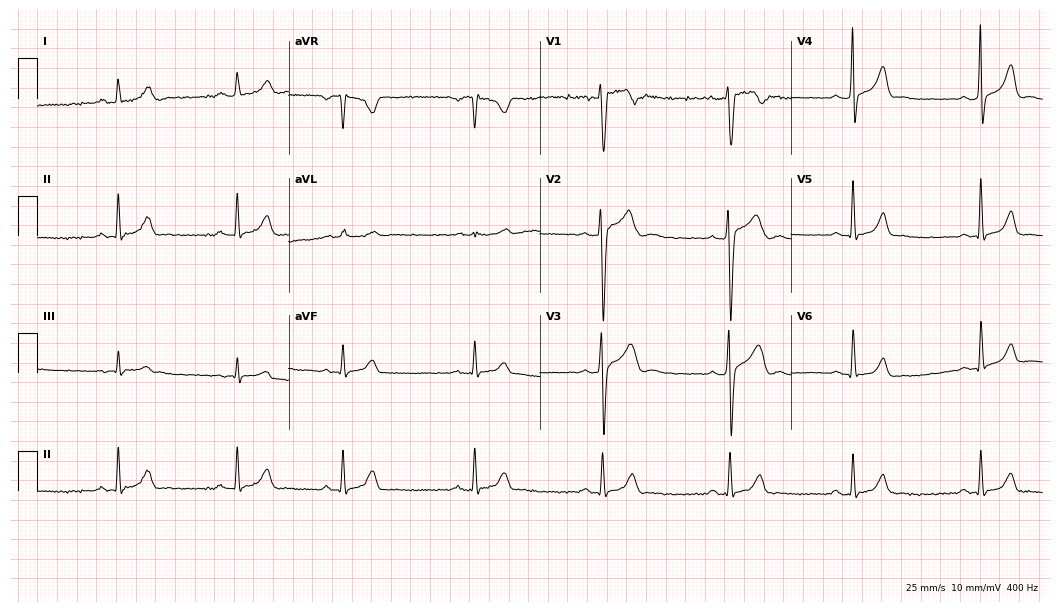
12-lead ECG (10.2-second recording at 400 Hz) from a 30-year-old male. Findings include sinus bradycardia (a sinus rate of 50 beats per minute or less).